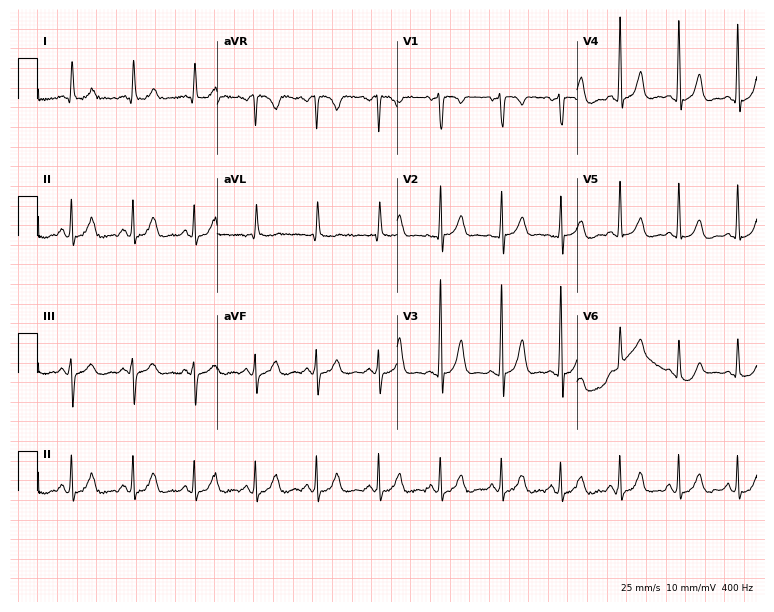
Standard 12-lead ECG recorded from a female patient, 44 years old (7.3-second recording at 400 Hz). None of these six findings is recorded: first-degree AV block, right bundle branch block (RBBB), left bundle branch block (LBBB), sinus bradycardia, atrial fibrillation (AF), sinus tachycardia. Only these six findings were labelled.